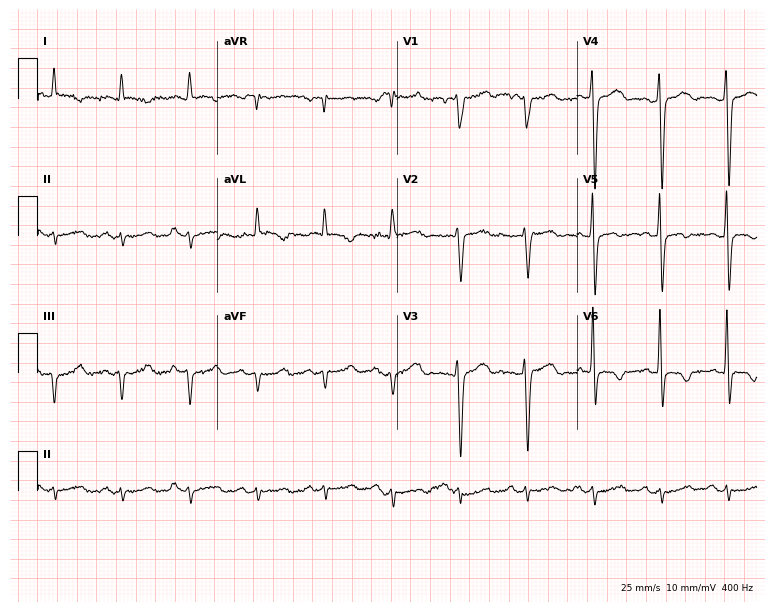
ECG — a 75-year-old man. Screened for six findings — first-degree AV block, right bundle branch block, left bundle branch block, sinus bradycardia, atrial fibrillation, sinus tachycardia — none is recorded.